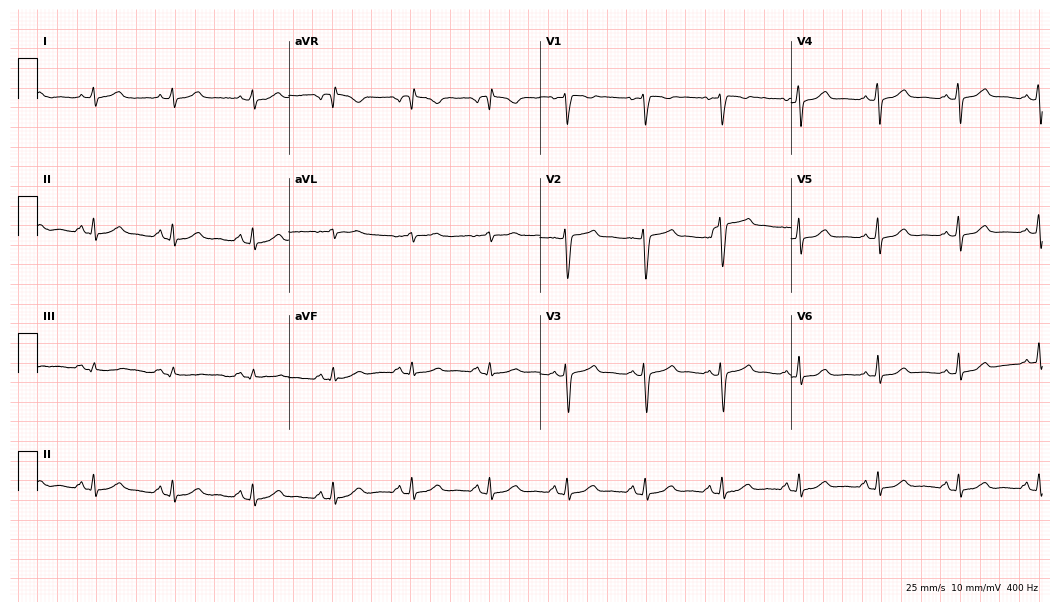
12-lead ECG from a female patient, 43 years old (10.2-second recording at 400 Hz). No first-degree AV block, right bundle branch block (RBBB), left bundle branch block (LBBB), sinus bradycardia, atrial fibrillation (AF) or sinus tachycardia recorded for this tracing.